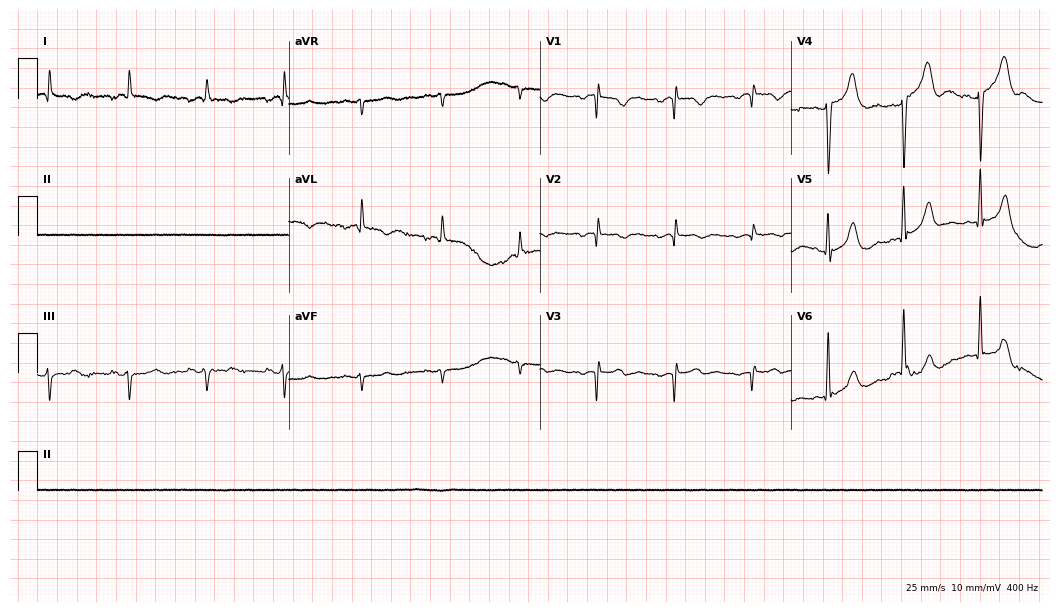
12-lead ECG from a male, 71 years old. Screened for six findings — first-degree AV block, right bundle branch block, left bundle branch block, sinus bradycardia, atrial fibrillation, sinus tachycardia — none is recorded.